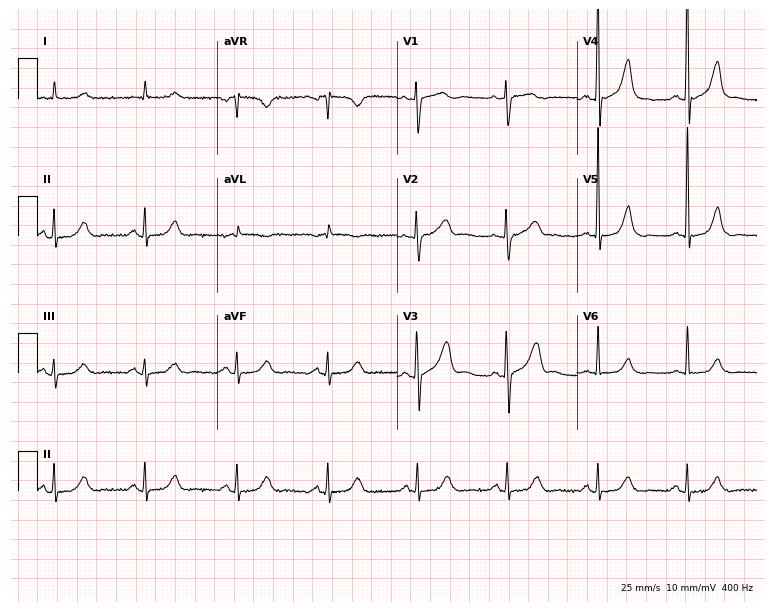
Standard 12-lead ECG recorded from a man, 79 years old (7.3-second recording at 400 Hz). None of these six findings is recorded: first-degree AV block, right bundle branch block, left bundle branch block, sinus bradycardia, atrial fibrillation, sinus tachycardia.